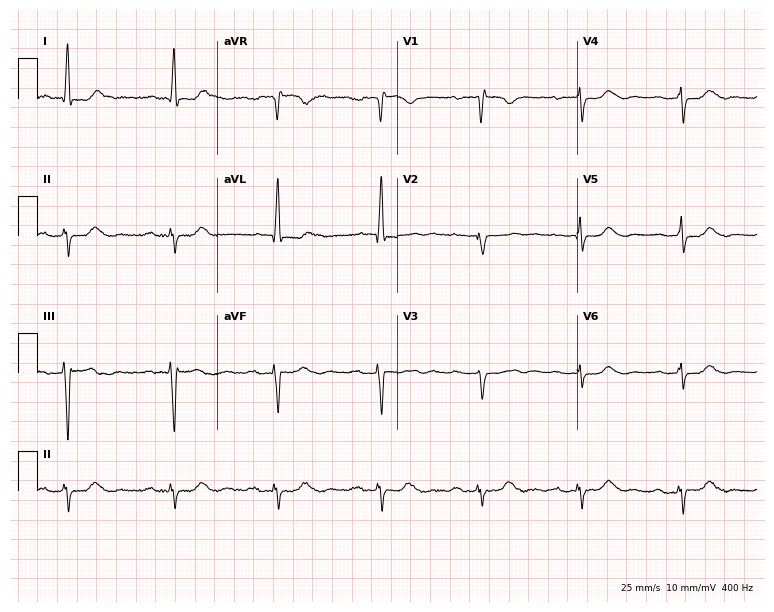
Standard 12-lead ECG recorded from a 78-year-old woman (7.3-second recording at 400 Hz). The tracing shows first-degree AV block.